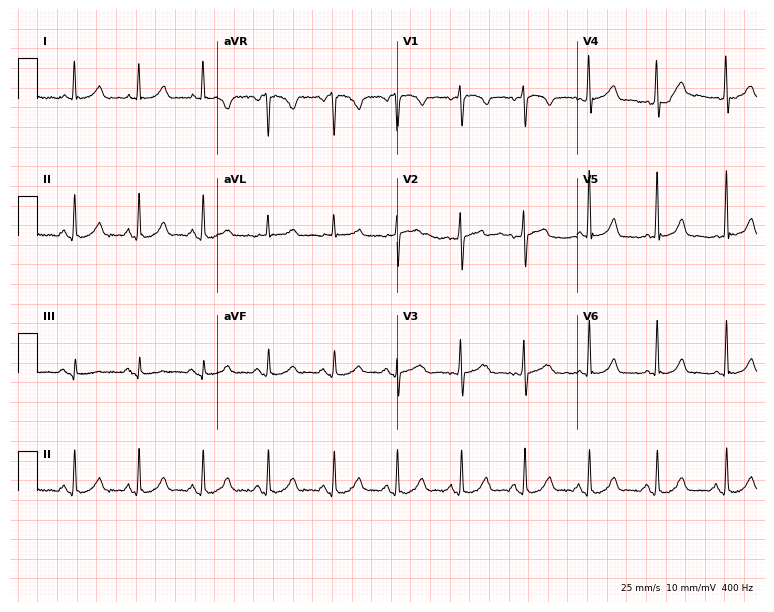
12-lead ECG from a 57-year-old woman. Recorded interpretation: within normal limits.